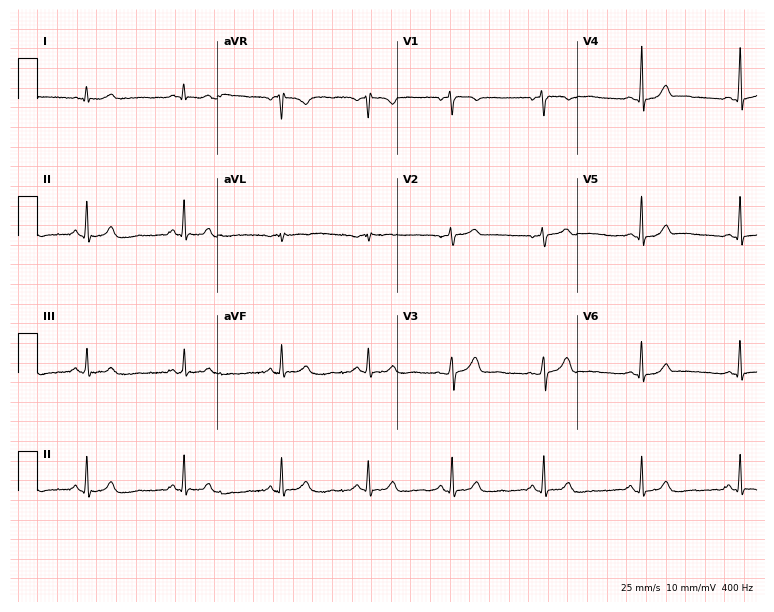
12-lead ECG from a 46-year-old female patient. Labelled as a normal ECG.